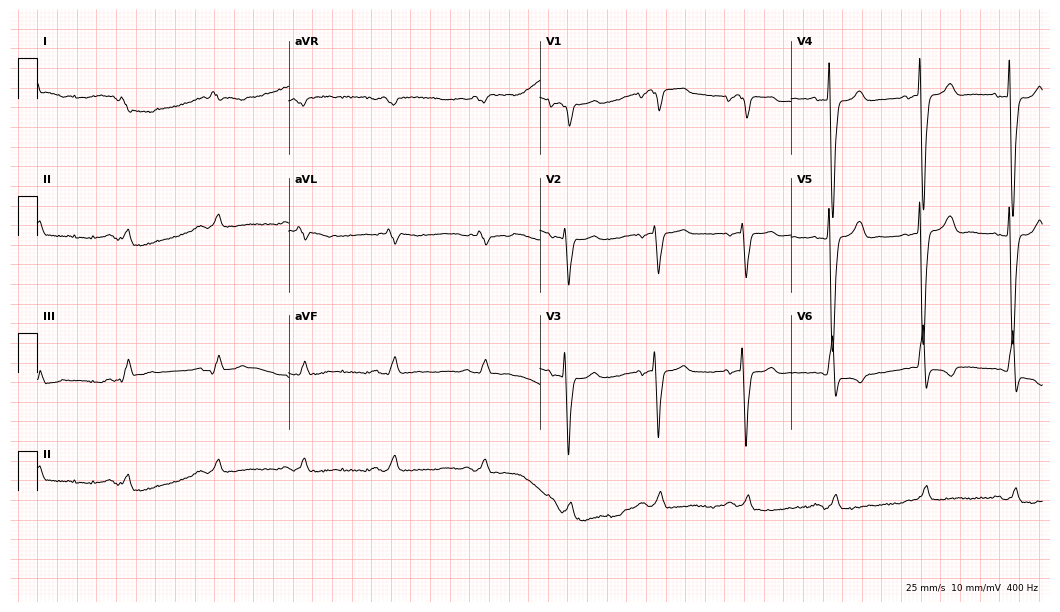
Electrocardiogram, a male, 74 years old. Interpretation includes left bundle branch block.